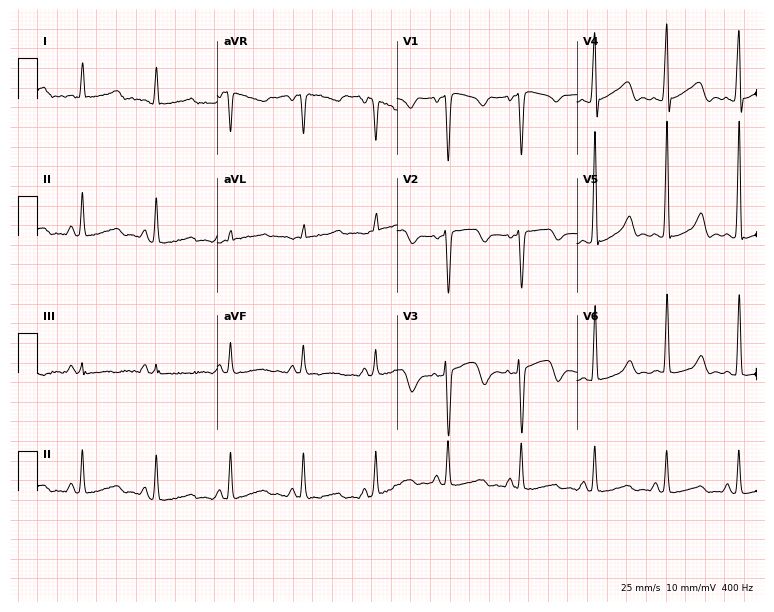
12-lead ECG from a male, 36 years old. No first-degree AV block, right bundle branch block, left bundle branch block, sinus bradycardia, atrial fibrillation or sinus tachycardia recorded for this tracing. Other findings, if any, are not listed.